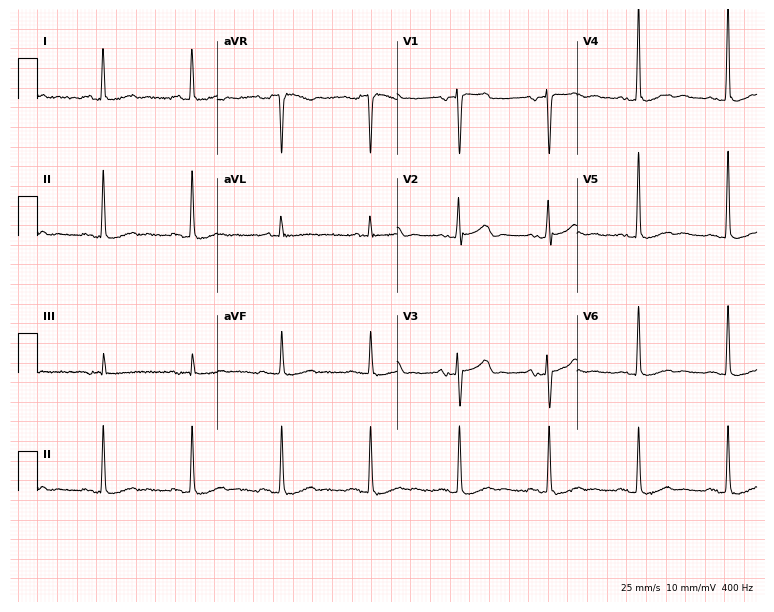
Electrocardiogram, a male, 72 years old. Of the six screened findings (first-degree AV block, right bundle branch block, left bundle branch block, sinus bradycardia, atrial fibrillation, sinus tachycardia), none is recorded.